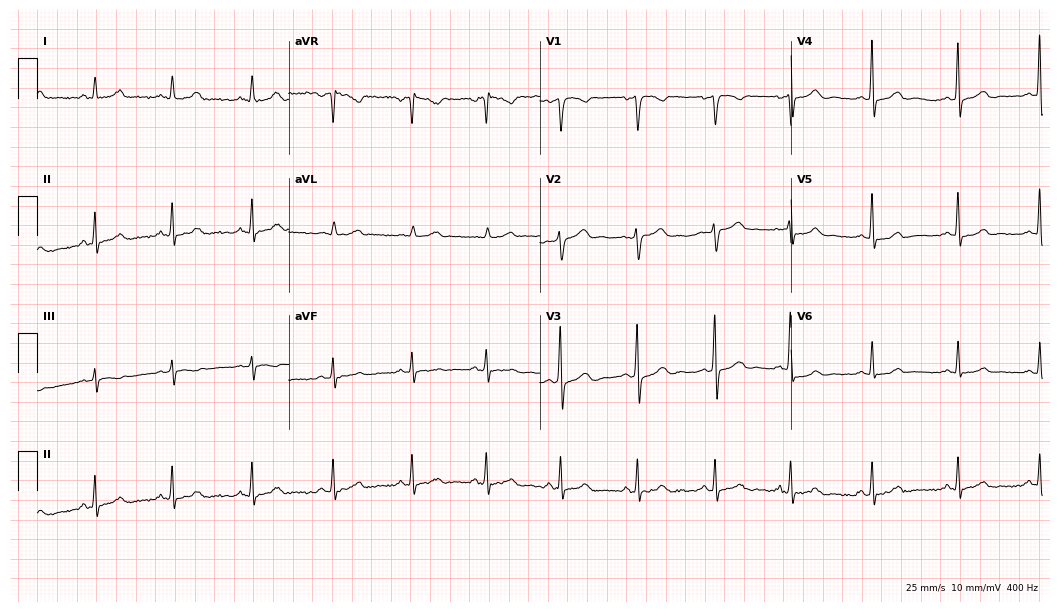
12-lead ECG from a female, 36 years old. Labelled as a normal ECG.